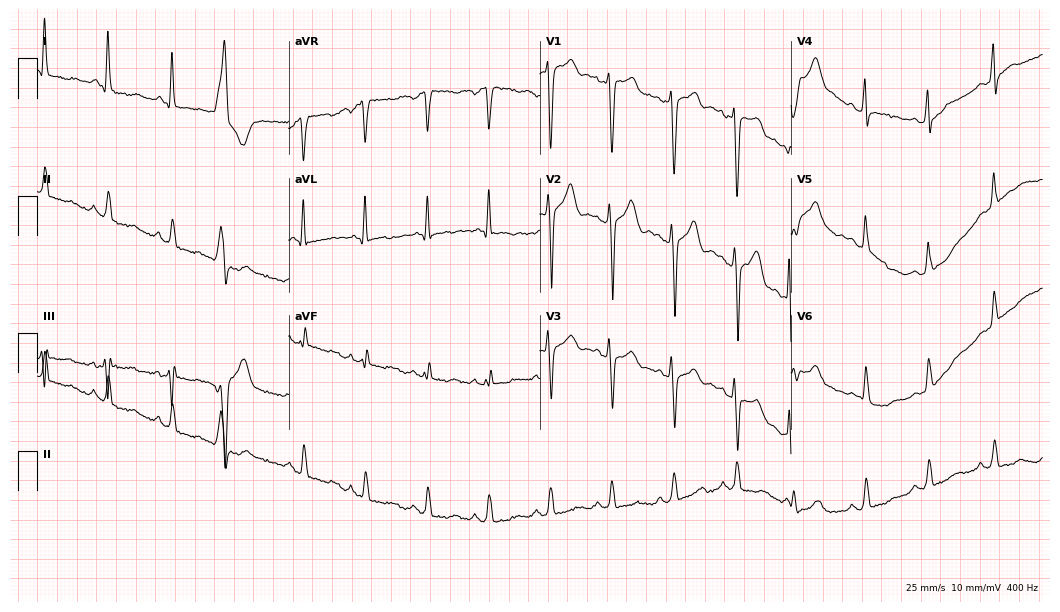
12-lead ECG from a 46-year-old man (10.2-second recording at 400 Hz). No first-degree AV block, right bundle branch block, left bundle branch block, sinus bradycardia, atrial fibrillation or sinus tachycardia recorded for this tracing. Other findings, if any, are not listed.